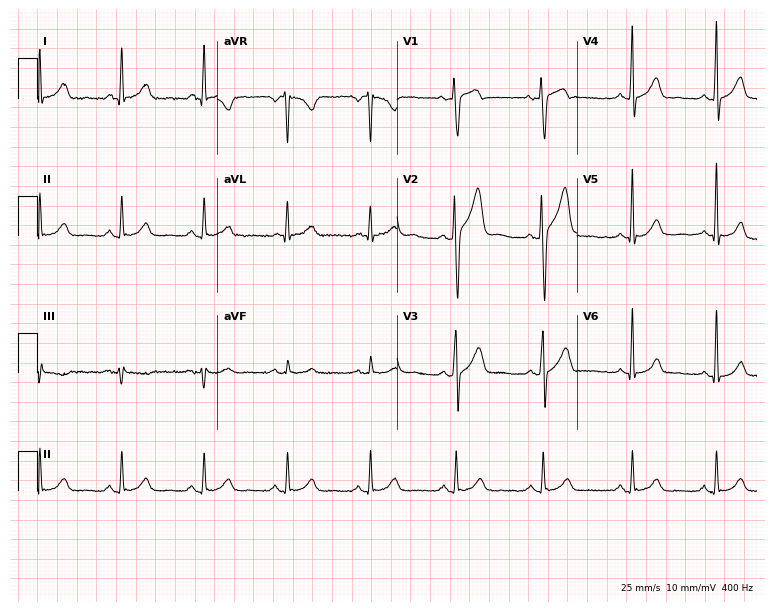
12-lead ECG from a man, 44 years old (7.3-second recording at 400 Hz). Recorded interpretation: within normal limits.